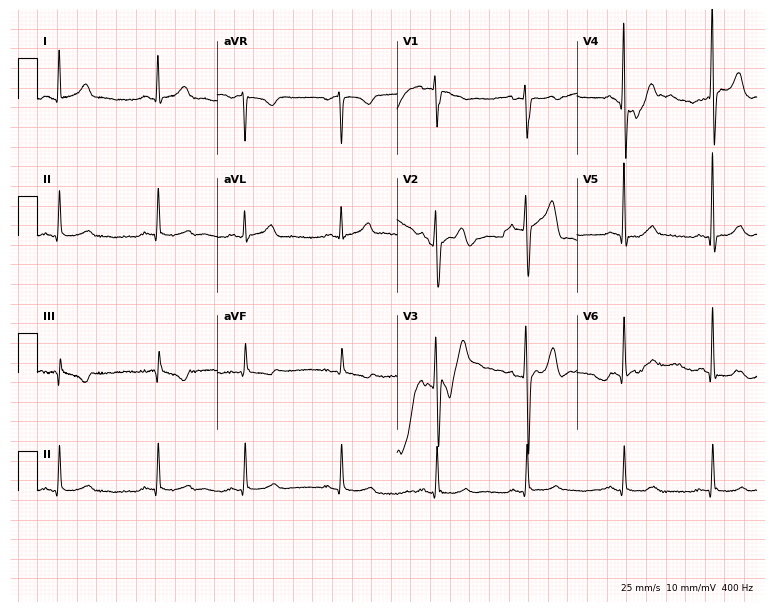
Standard 12-lead ECG recorded from a 58-year-old man (7.3-second recording at 400 Hz). Read as a normal ECG.